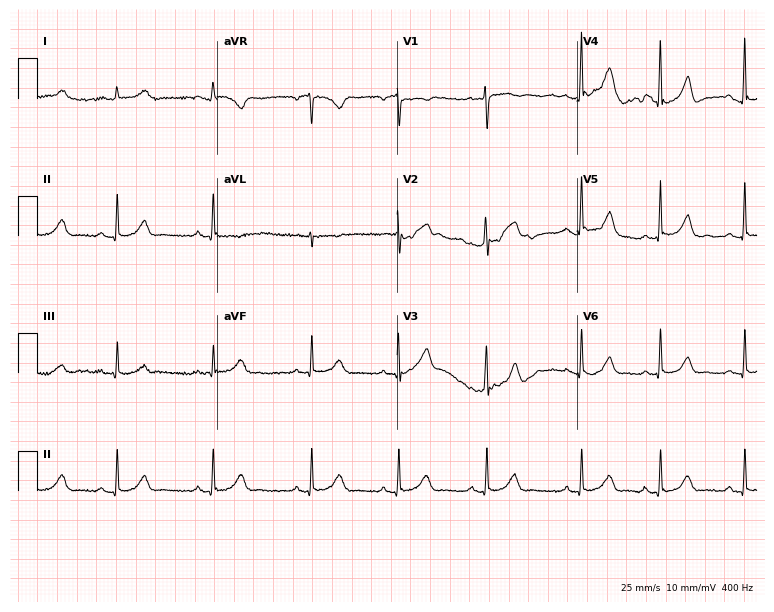
12-lead ECG from a female, 38 years old (7.3-second recording at 400 Hz). No first-degree AV block, right bundle branch block, left bundle branch block, sinus bradycardia, atrial fibrillation or sinus tachycardia recorded for this tracing. Only these six findings were labelled.